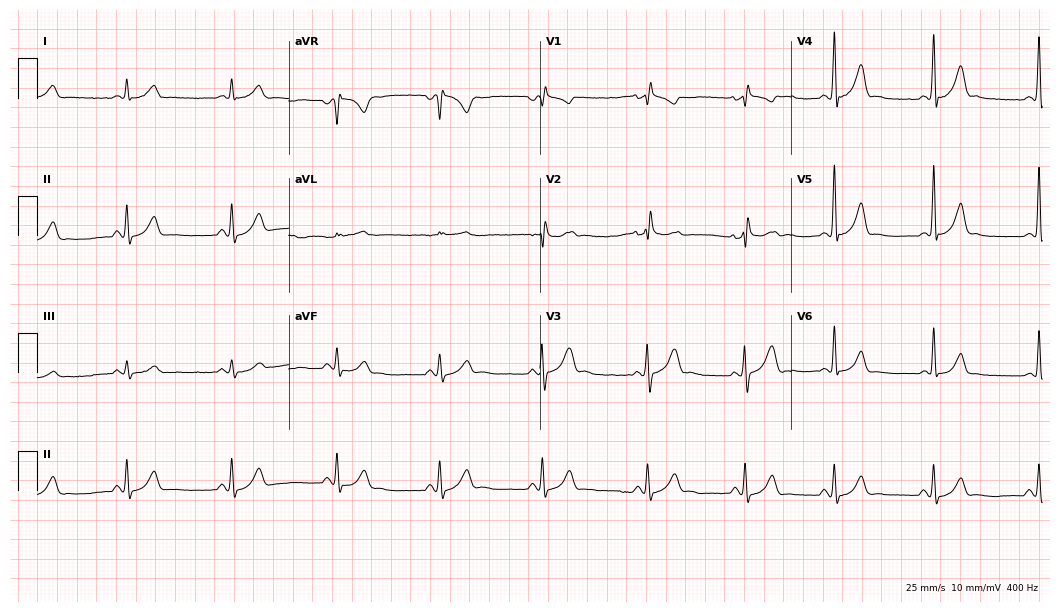
12-lead ECG (10.2-second recording at 400 Hz) from a 43-year-old male patient. Screened for six findings — first-degree AV block, right bundle branch block (RBBB), left bundle branch block (LBBB), sinus bradycardia, atrial fibrillation (AF), sinus tachycardia — none is recorded.